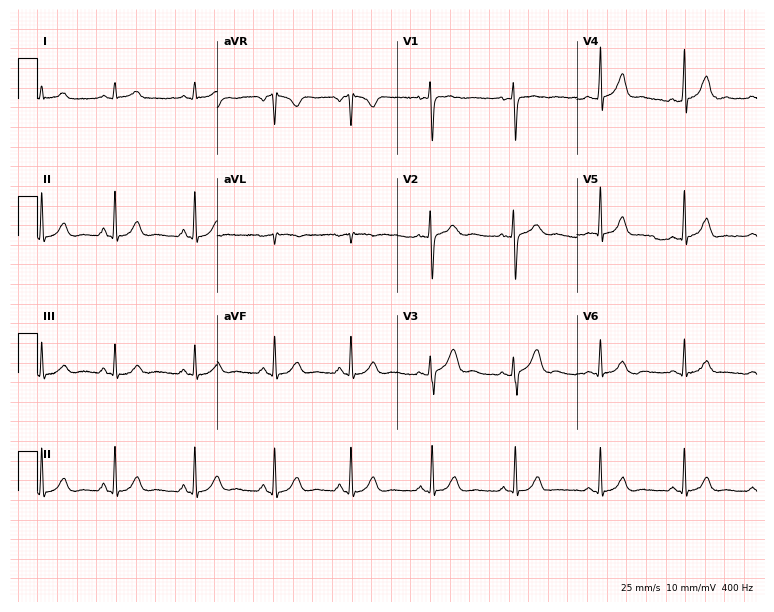
Standard 12-lead ECG recorded from a female, 28 years old. Read as a normal ECG.